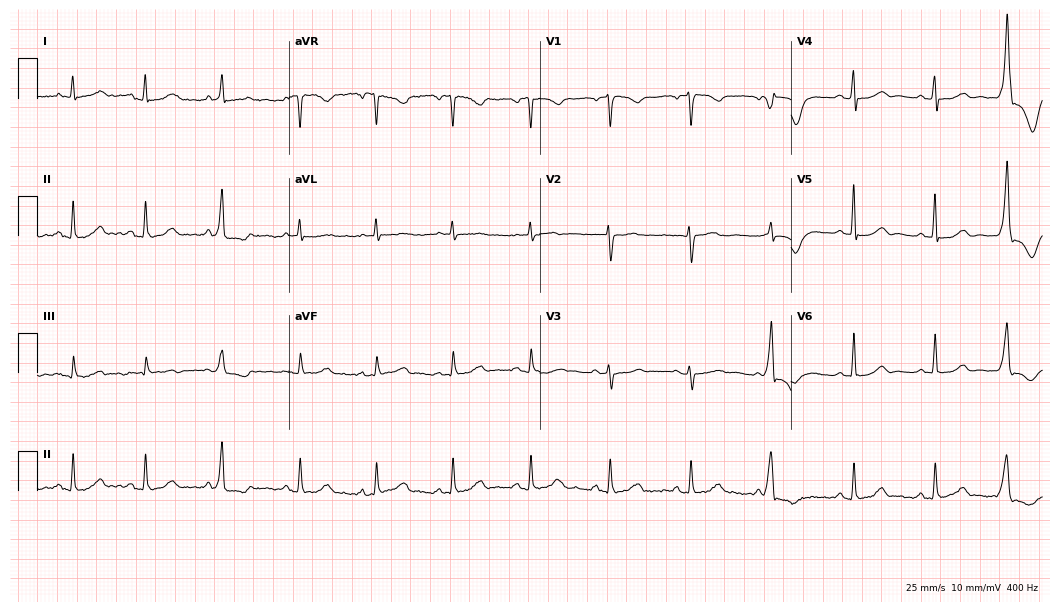
ECG (10.2-second recording at 400 Hz) — a female patient, 60 years old. Screened for six findings — first-degree AV block, right bundle branch block, left bundle branch block, sinus bradycardia, atrial fibrillation, sinus tachycardia — none is recorded.